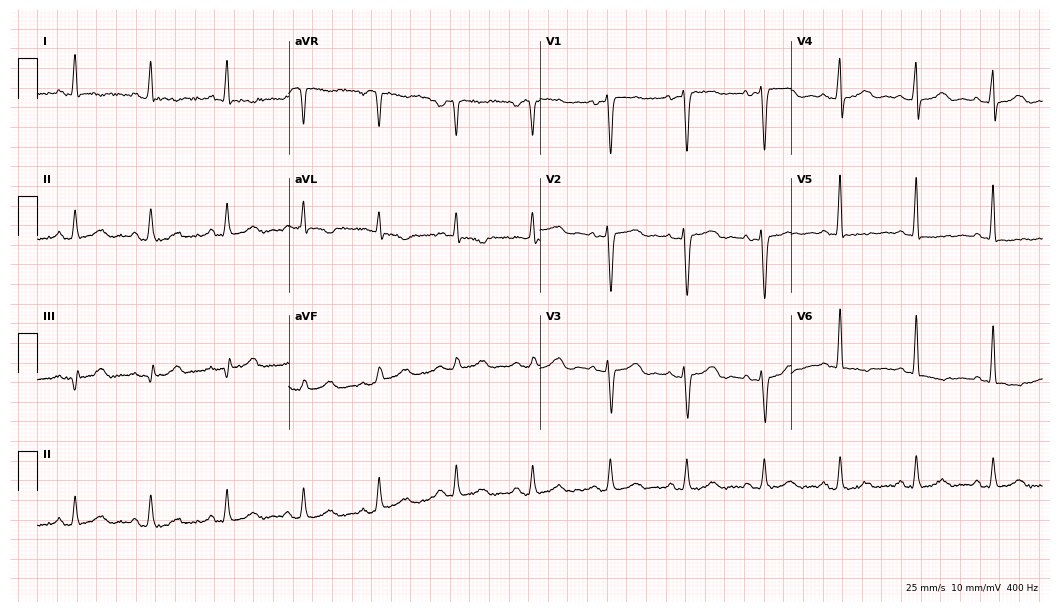
12-lead ECG from a 60-year-old female. Screened for six findings — first-degree AV block, right bundle branch block, left bundle branch block, sinus bradycardia, atrial fibrillation, sinus tachycardia — none is recorded.